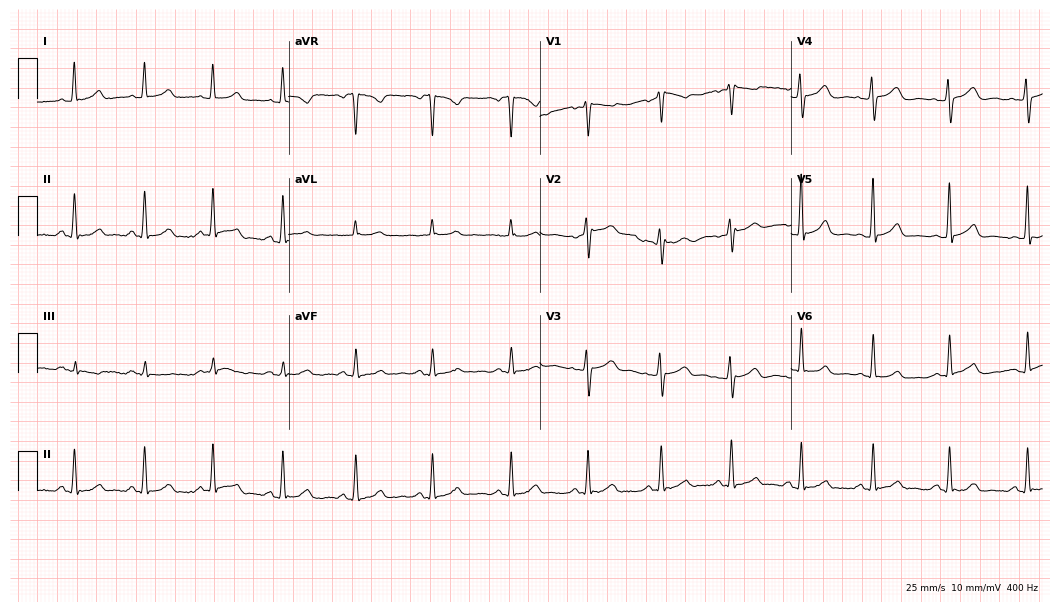
ECG (10.2-second recording at 400 Hz) — a female, 31 years old. Labelled as a normal ECG.